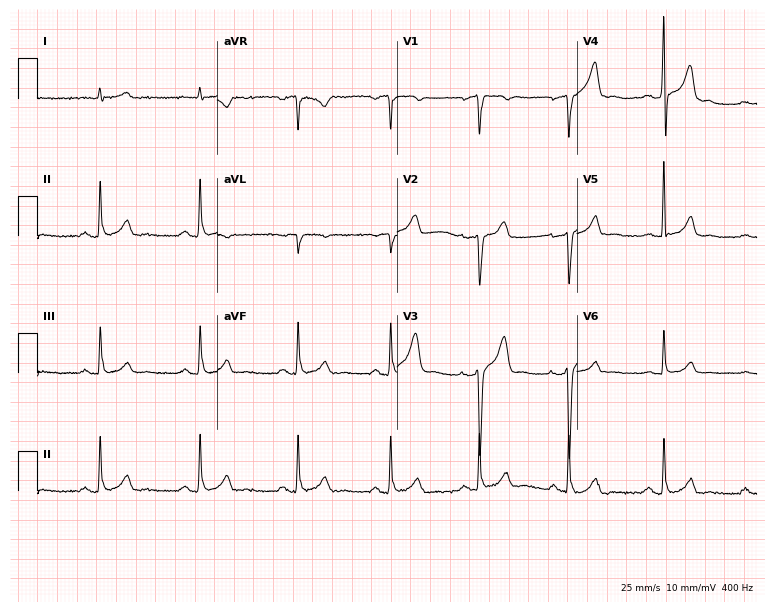
12-lead ECG (7.3-second recording at 400 Hz) from a male, 42 years old. Labelled as a normal ECG.